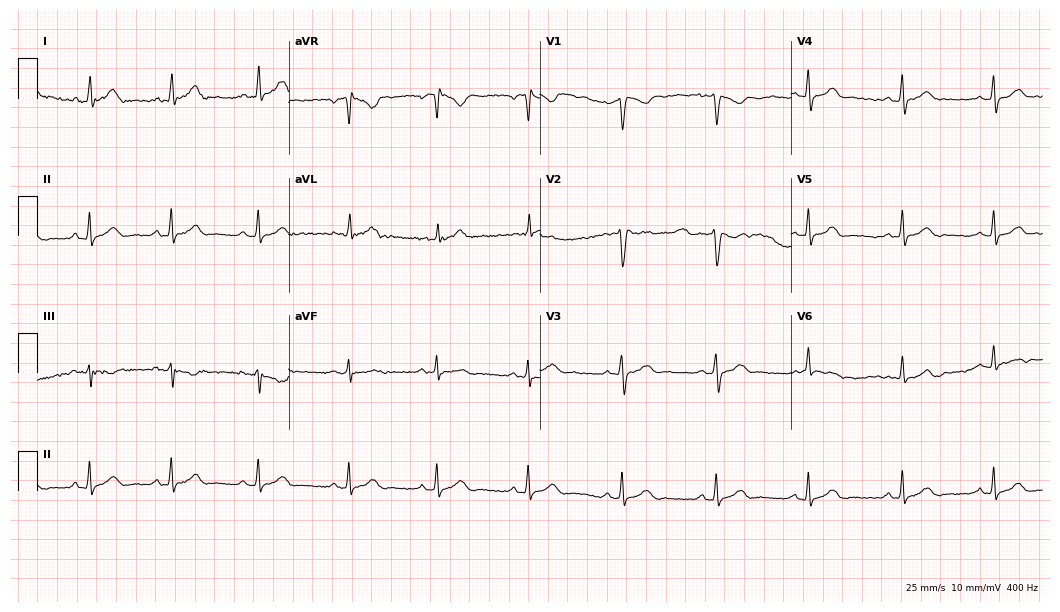
Resting 12-lead electrocardiogram (10.2-second recording at 400 Hz). Patient: a 35-year-old female. Read as a normal ECG.